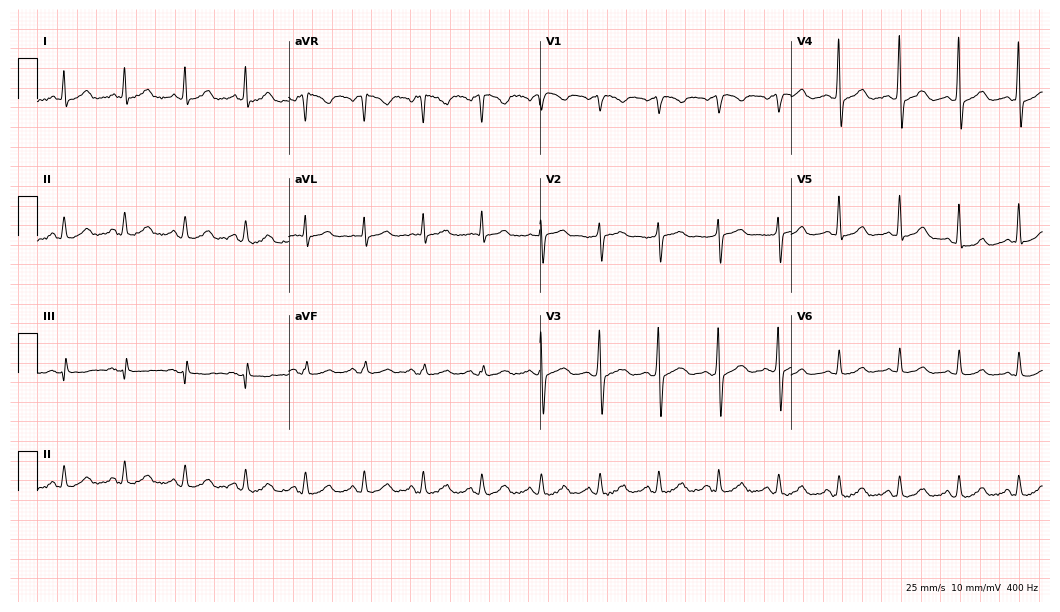
Resting 12-lead electrocardiogram (10.2-second recording at 400 Hz). Patient: a 42-year-old woman. None of these six findings is recorded: first-degree AV block, right bundle branch block (RBBB), left bundle branch block (LBBB), sinus bradycardia, atrial fibrillation (AF), sinus tachycardia.